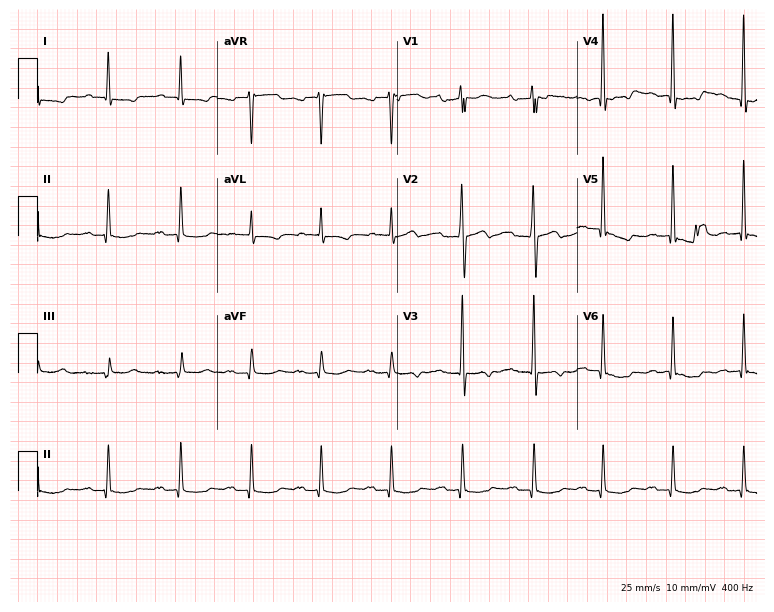
Electrocardiogram, a 73-year-old man. Of the six screened findings (first-degree AV block, right bundle branch block (RBBB), left bundle branch block (LBBB), sinus bradycardia, atrial fibrillation (AF), sinus tachycardia), none is recorded.